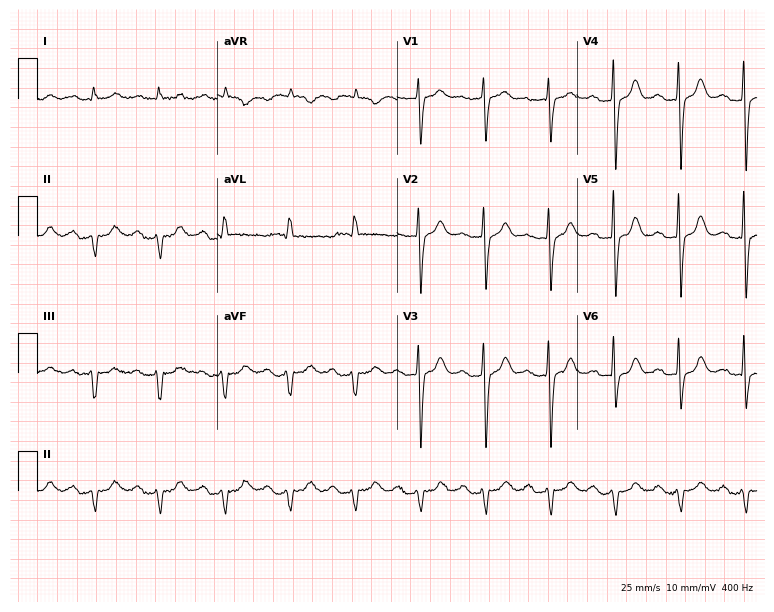
Electrocardiogram (7.3-second recording at 400 Hz), an 87-year-old male. Interpretation includes first-degree AV block.